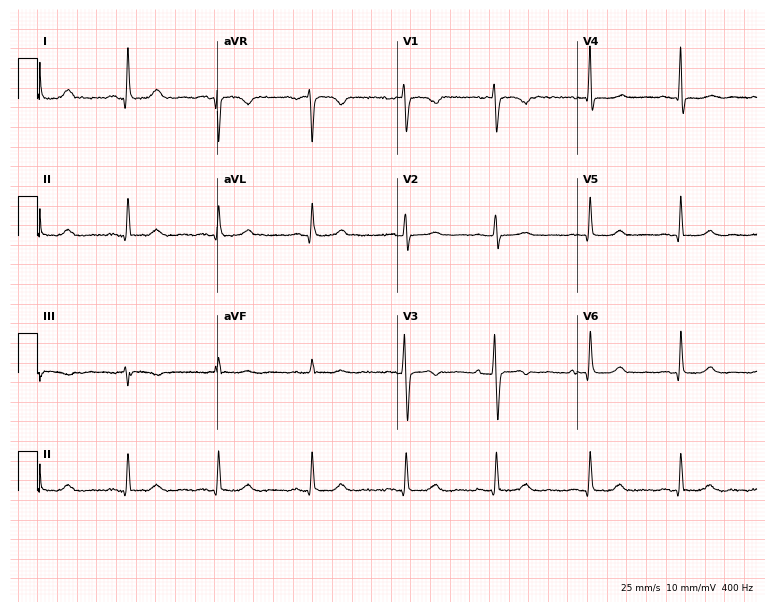
Electrocardiogram (7.3-second recording at 400 Hz), a 50-year-old female. Overall reading on record: normal ECG.